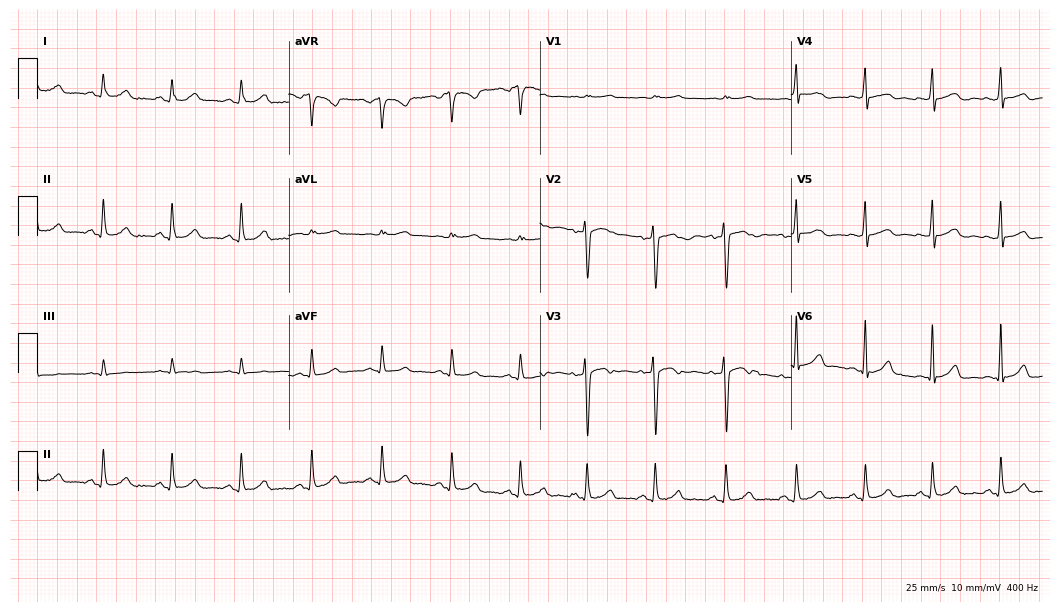
Electrocardiogram, a 39-year-old female. Overall reading on record: normal ECG.